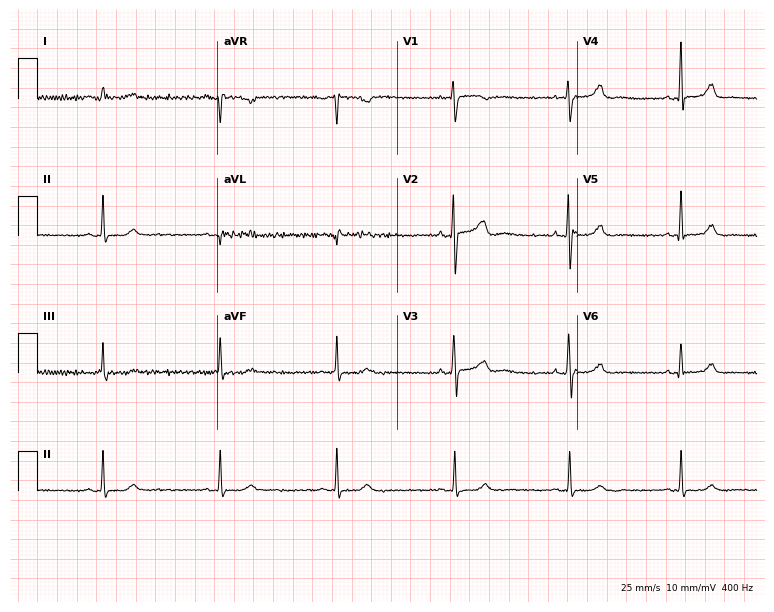
12-lead ECG from a woman, 43 years old (7.3-second recording at 400 Hz). No first-degree AV block, right bundle branch block, left bundle branch block, sinus bradycardia, atrial fibrillation or sinus tachycardia recorded for this tracing. Findings outside these six are not listed.